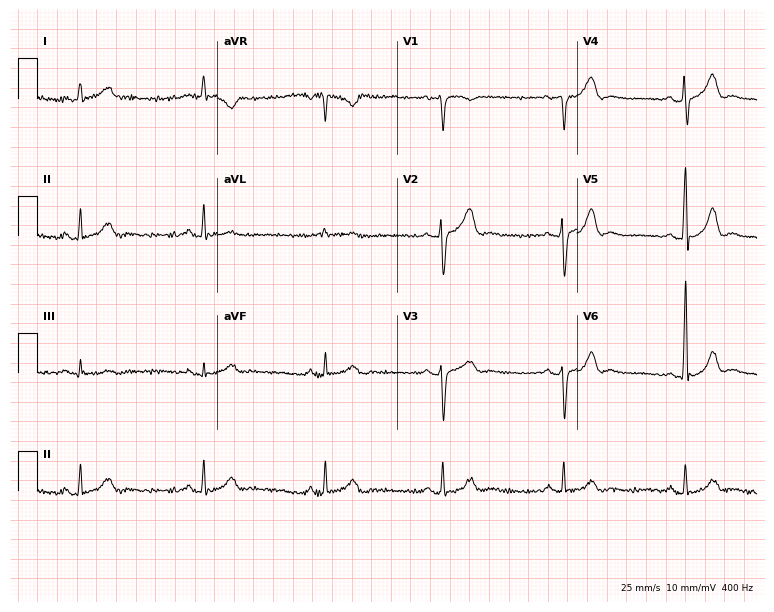
ECG — a 58-year-old man. Findings include sinus bradycardia (a sinus rate of 50 beats per minute or less).